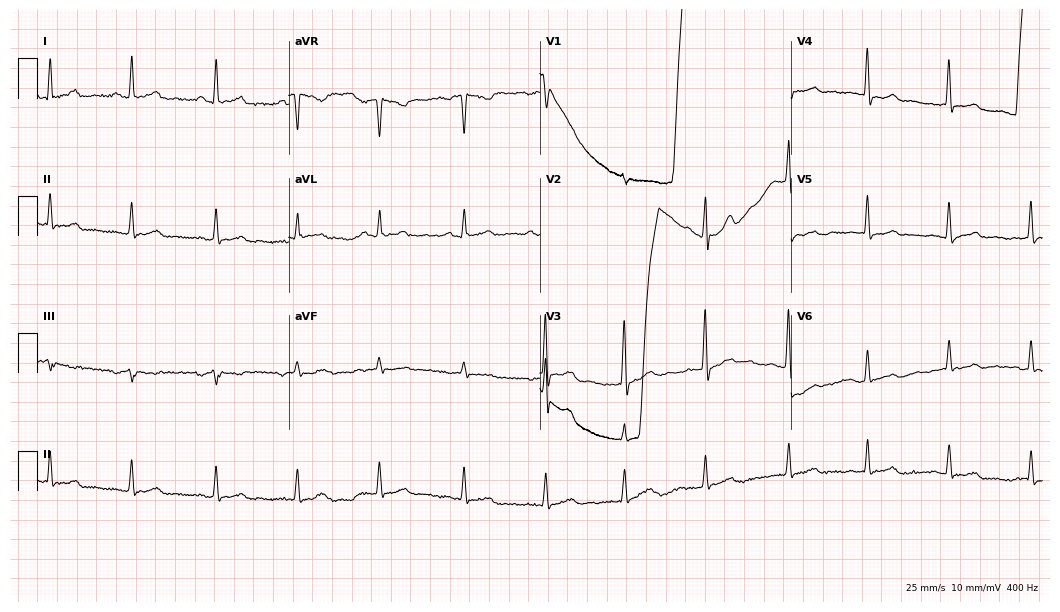
Electrocardiogram, a male, 43 years old. Of the six screened findings (first-degree AV block, right bundle branch block, left bundle branch block, sinus bradycardia, atrial fibrillation, sinus tachycardia), none is recorded.